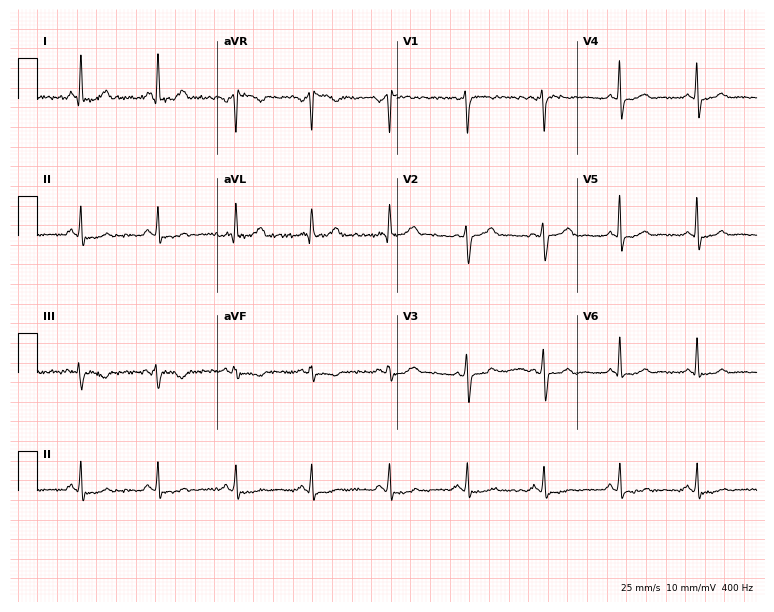
ECG (7.3-second recording at 400 Hz) — a female patient, 40 years old. Screened for six findings — first-degree AV block, right bundle branch block, left bundle branch block, sinus bradycardia, atrial fibrillation, sinus tachycardia — none is recorded. Other findings, if any, are not listed.